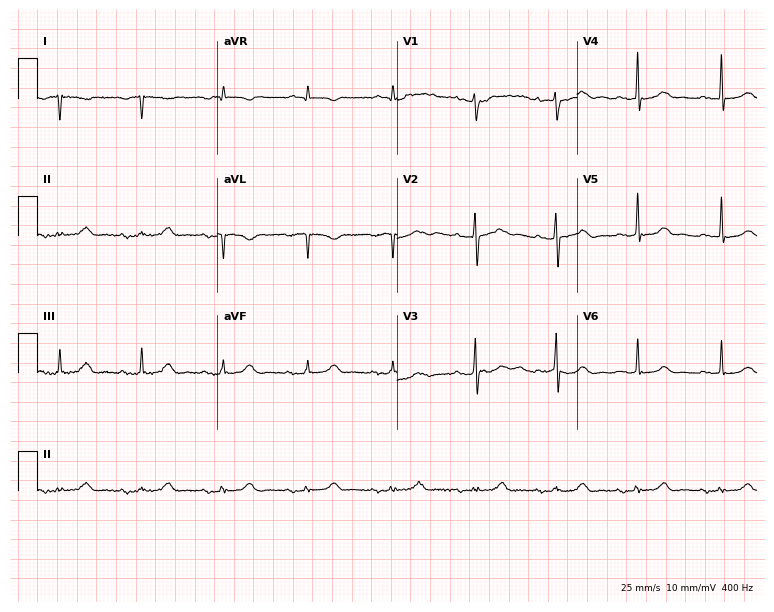
12-lead ECG from a male, 80 years old. No first-degree AV block, right bundle branch block, left bundle branch block, sinus bradycardia, atrial fibrillation or sinus tachycardia recorded for this tracing. Other findings, if any, are not listed.